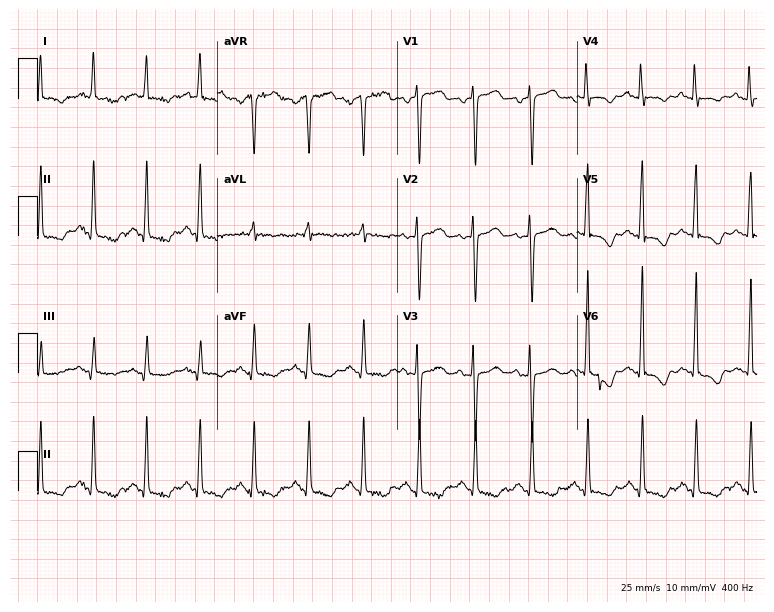
ECG — a 62-year-old female patient. Findings include sinus tachycardia (a sinus rate of 100 beats per minute or more).